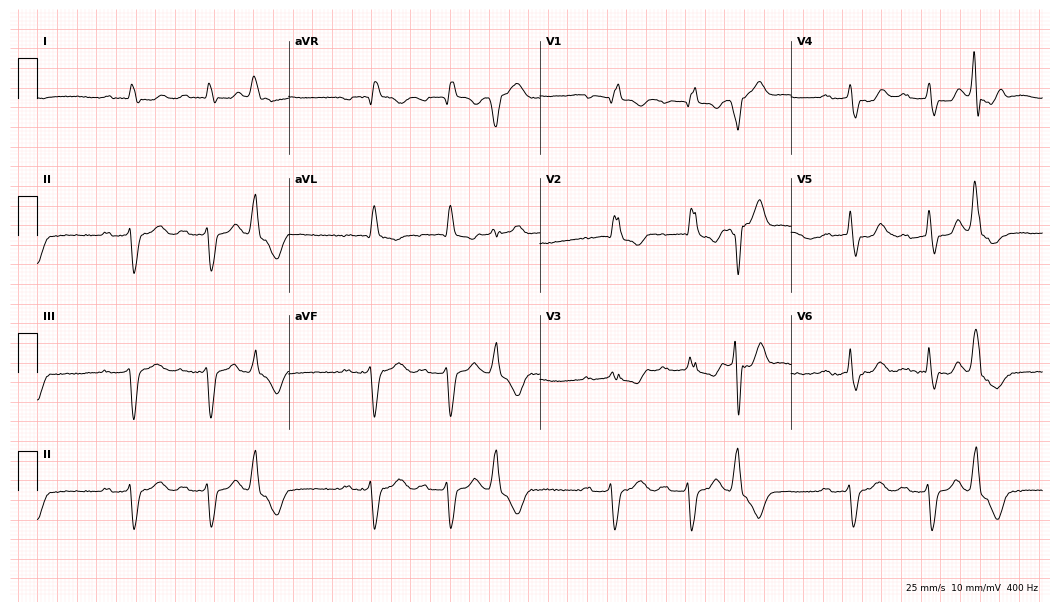
12-lead ECG from an 88-year-old male (10.2-second recording at 400 Hz). Shows first-degree AV block, right bundle branch block (RBBB), left bundle branch block (LBBB).